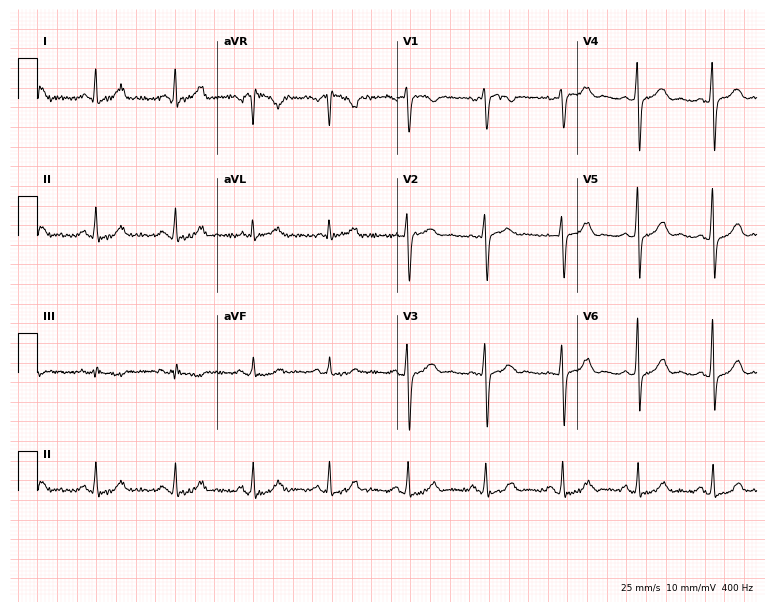
Resting 12-lead electrocardiogram. Patient: a female, 45 years old. Read as a normal ECG.